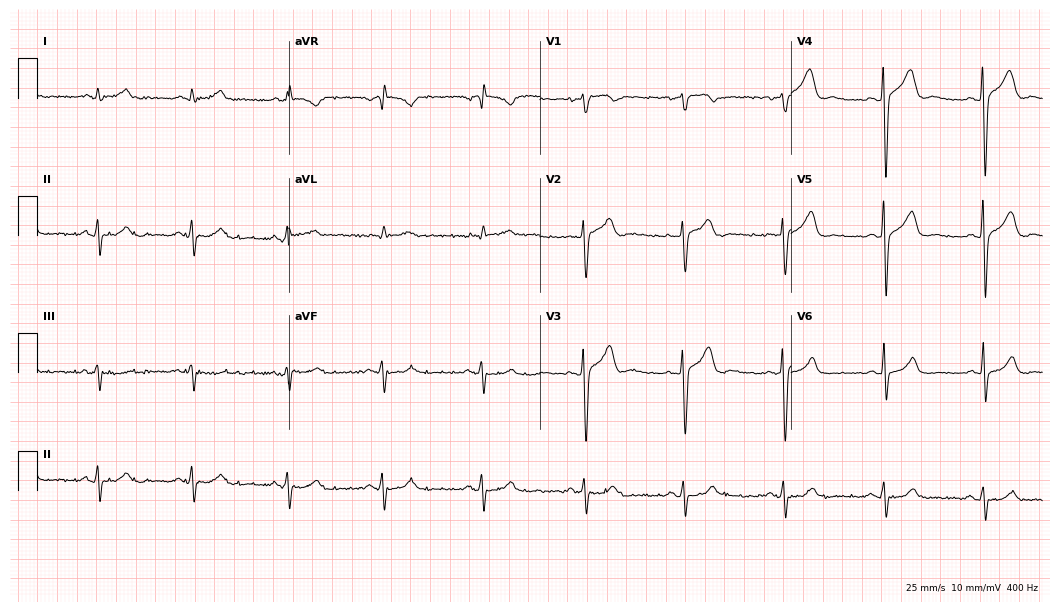
12-lead ECG from a male patient, 39 years old. No first-degree AV block, right bundle branch block (RBBB), left bundle branch block (LBBB), sinus bradycardia, atrial fibrillation (AF) or sinus tachycardia recorded for this tracing. Only these six findings were labelled.